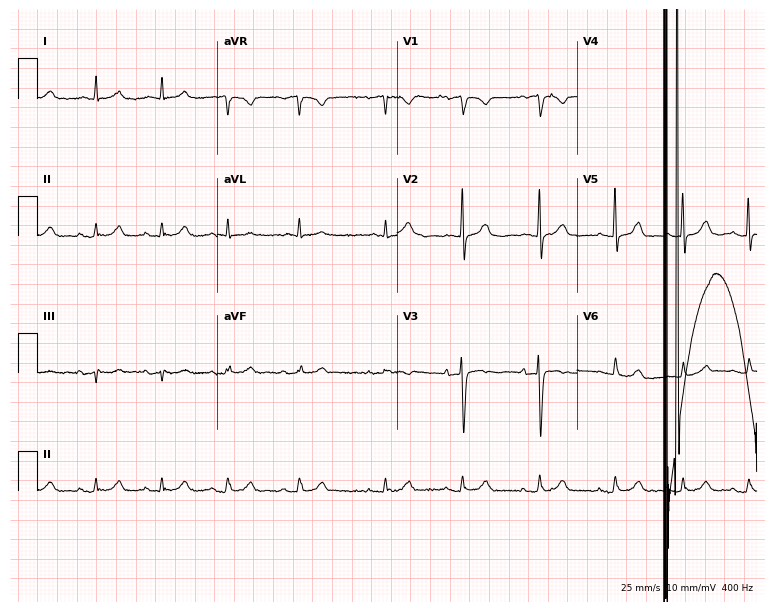
Resting 12-lead electrocardiogram. Patient: a female, 82 years old. None of these six findings is recorded: first-degree AV block, right bundle branch block, left bundle branch block, sinus bradycardia, atrial fibrillation, sinus tachycardia.